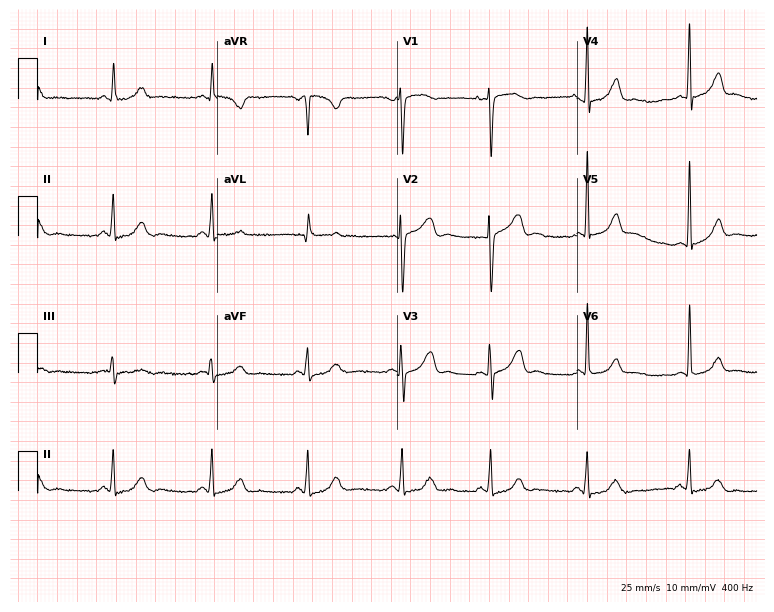
12-lead ECG from a female, 45 years old (7.3-second recording at 400 Hz). No first-degree AV block, right bundle branch block (RBBB), left bundle branch block (LBBB), sinus bradycardia, atrial fibrillation (AF) or sinus tachycardia recorded for this tracing.